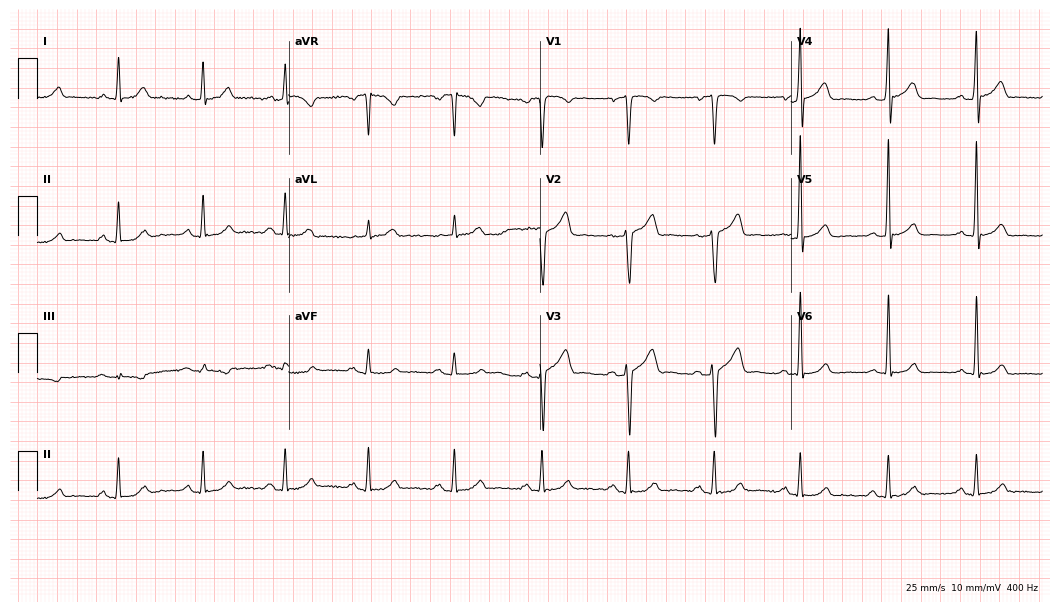
Electrocardiogram (10.2-second recording at 400 Hz), a 39-year-old man. Overall reading on record: normal ECG.